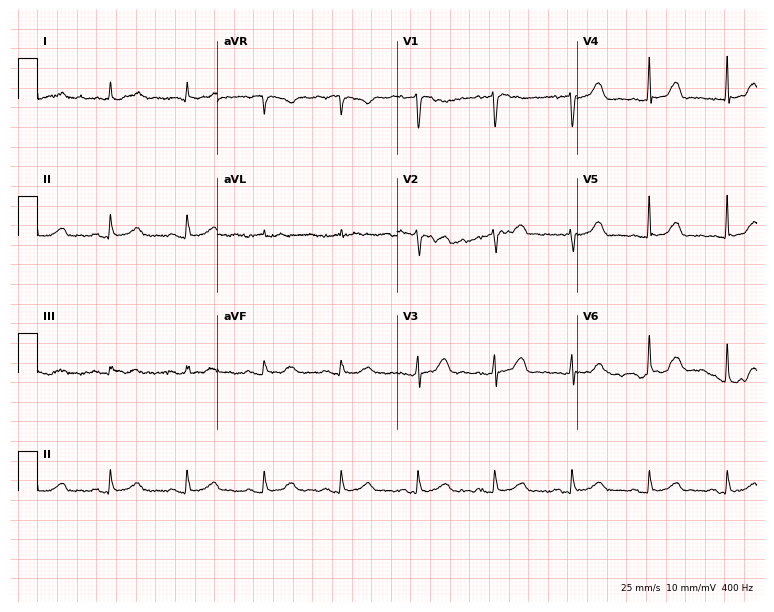
Standard 12-lead ECG recorded from an 85-year-old woman (7.3-second recording at 400 Hz). Read as a normal ECG.